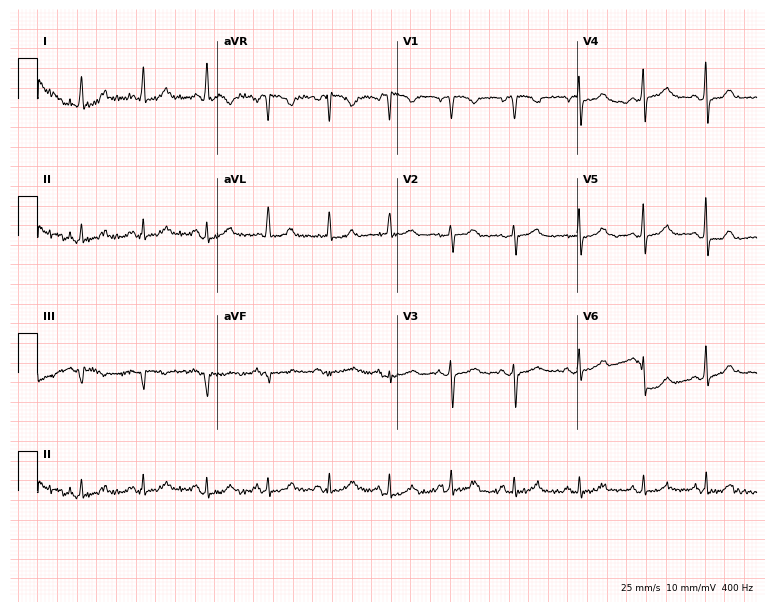
Resting 12-lead electrocardiogram (7.3-second recording at 400 Hz). Patient: a 67-year-old woman. None of these six findings is recorded: first-degree AV block, right bundle branch block, left bundle branch block, sinus bradycardia, atrial fibrillation, sinus tachycardia.